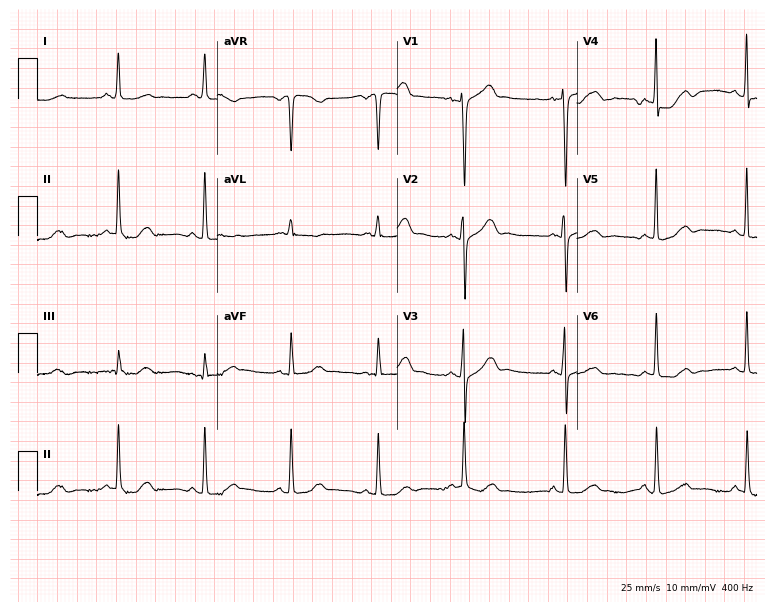
12-lead ECG (7.3-second recording at 400 Hz) from a female patient, 73 years old. Labelled as a normal ECG.